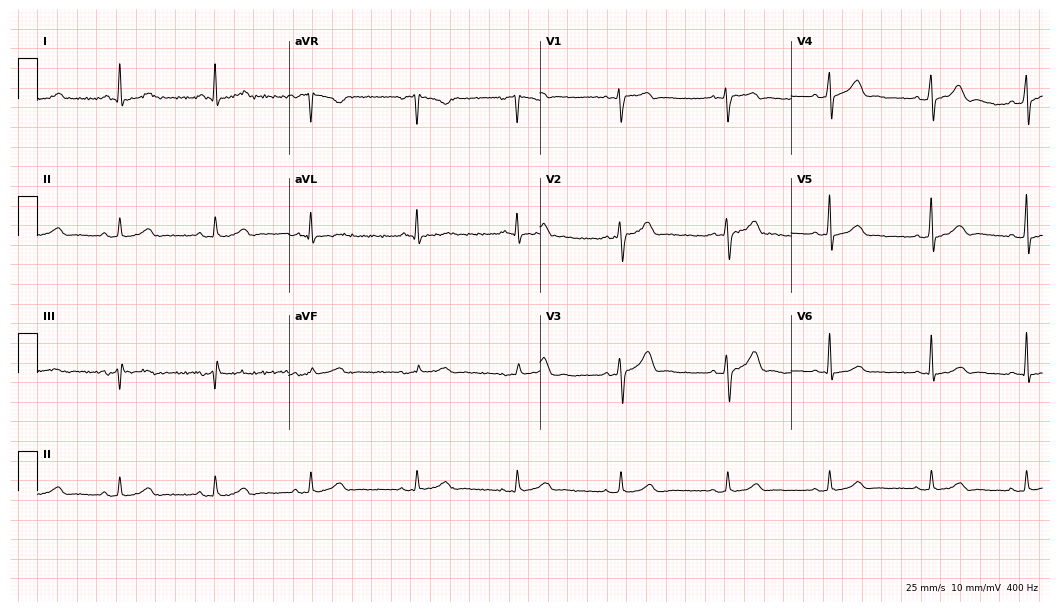
Resting 12-lead electrocardiogram. Patient: a male, 44 years old. Read as a normal ECG.